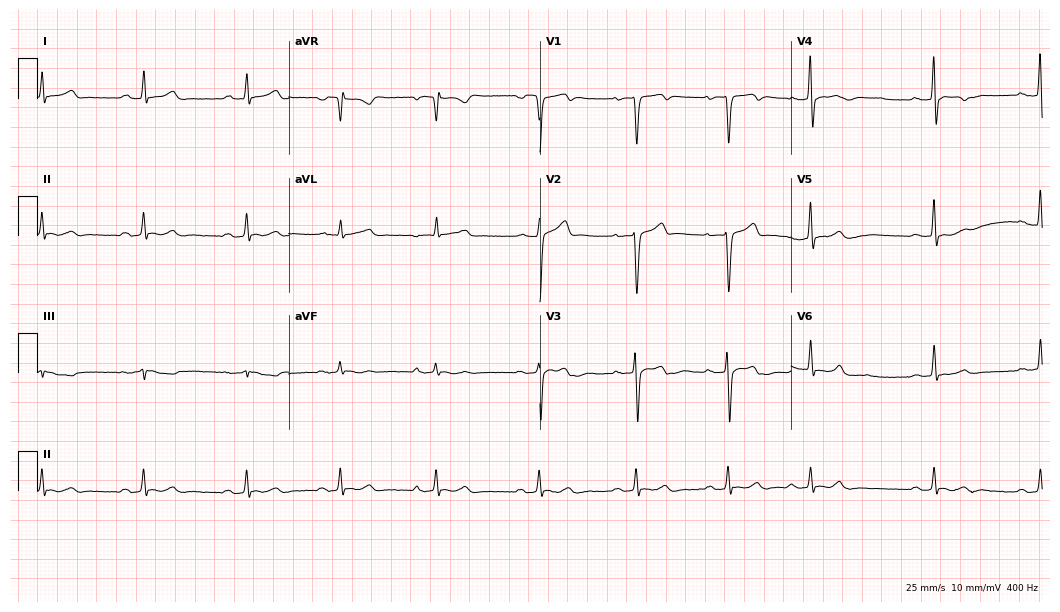
12-lead ECG from a 38-year-old man (10.2-second recording at 400 Hz). No first-degree AV block, right bundle branch block (RBBB), left bundle branch block (LBBB), sinus bradycardia, atrial fibrillation (AF) or sinus tachycardia recorded for this tracing.